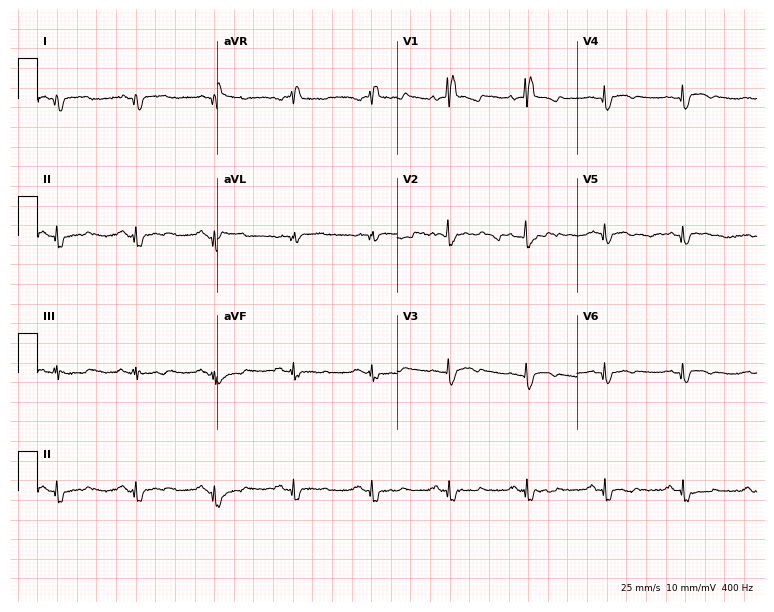
12-lead ECG from a 60-year-old man (7.3-second recording at 400 Hz). Shows right bundle branch block.